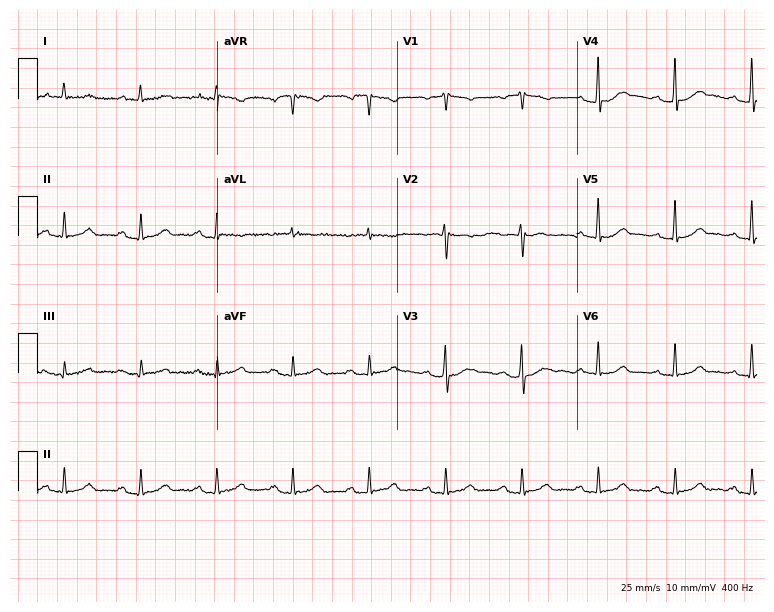
Resting 12-lead electrocardiogram (7.3-second recording at 400 Hz). Patient: a 57-year-old female. None of these six findings is recorded: first-degree AV block, right bundle branch block, left bundle branch block, sinus bradycardia, atrial fibrillation, sinus tachycardia.